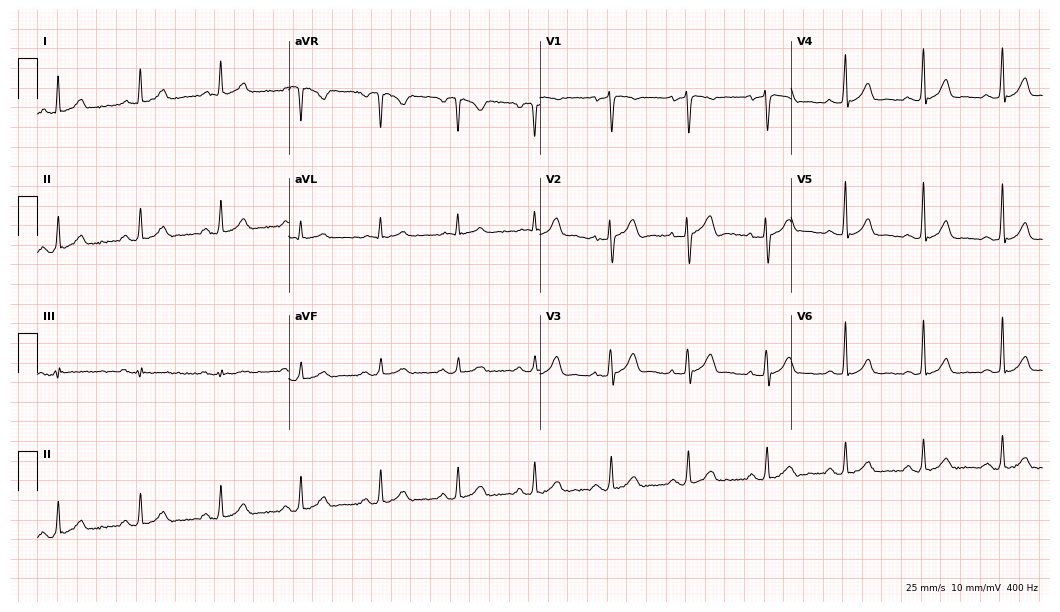
Resting 12-lead electrocardiogram. Patient: a 38-year-old man. Read as a normal ECG.